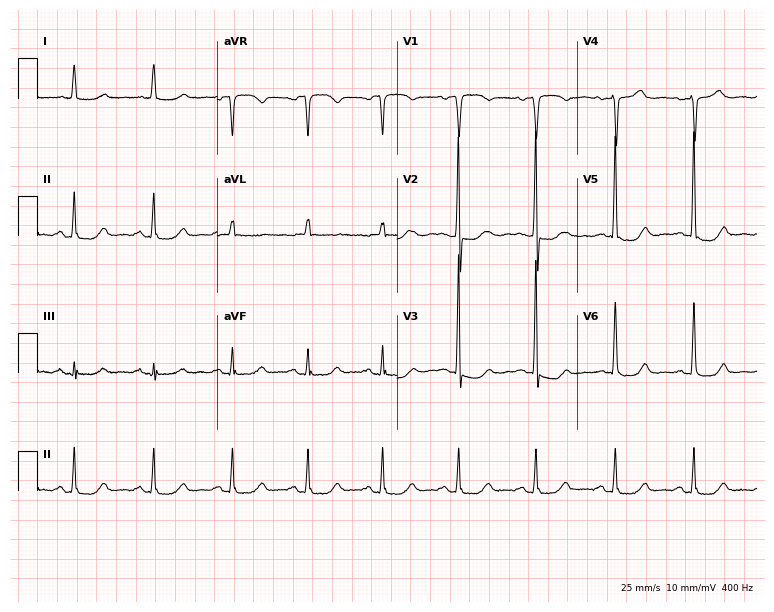
12-lead ECG from a 77-year-old female patient (7.3-second recording at 400 Hz). No first-degree AV block, right bundle branch block, left bundle branch block, sinus bradycardia, atrial fibrillation or sinus tachycardia recorded for this tracing.